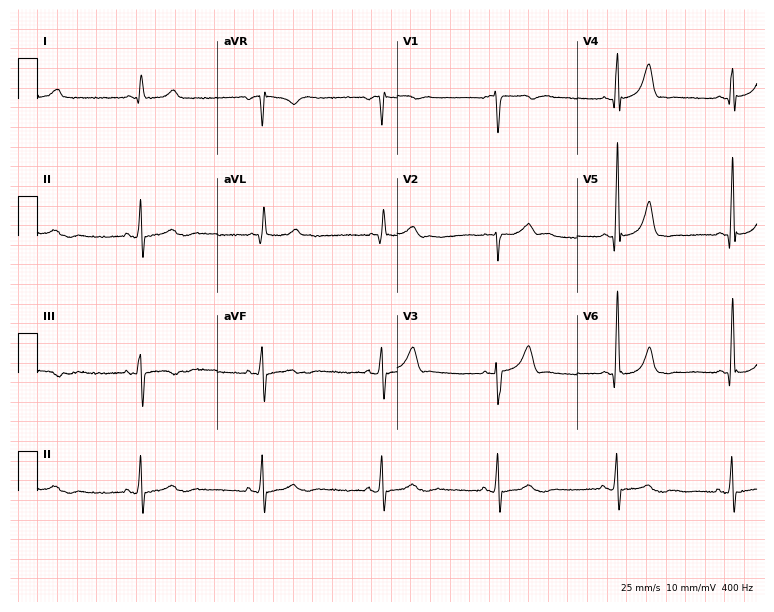
Resting 12-lead electrocardiogram. Patient: a man, 62 years old. Read as a normal ECG.